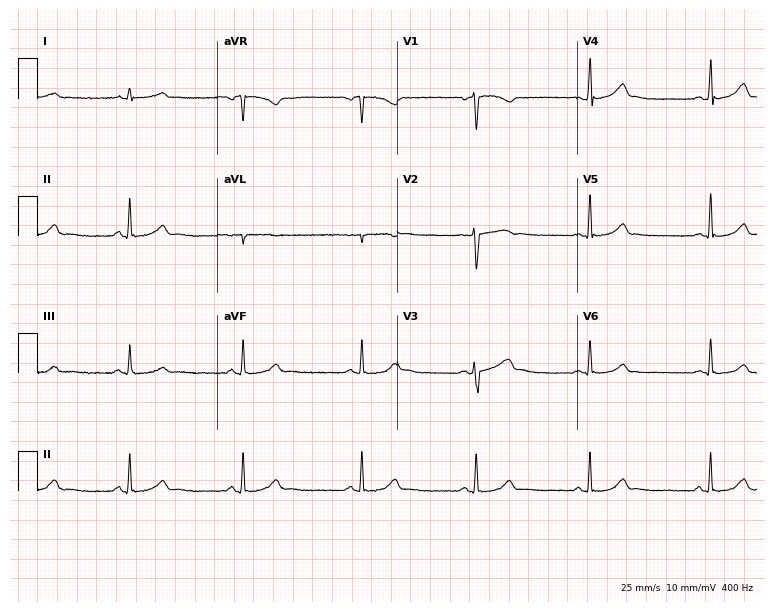
12-lead ECG from a female, 26 years old (7.3-second recording at 400 Hz). Recorded interpretation: within normal limits.